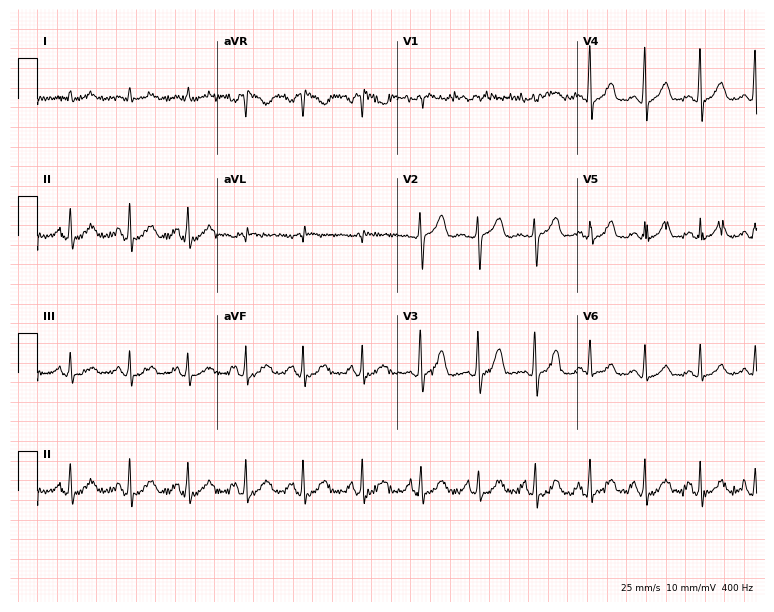
Standard 12-lead ECG recorded from a 46-year-old woman (7.3-second recording at 400 Hz). Read as a normal ECG.